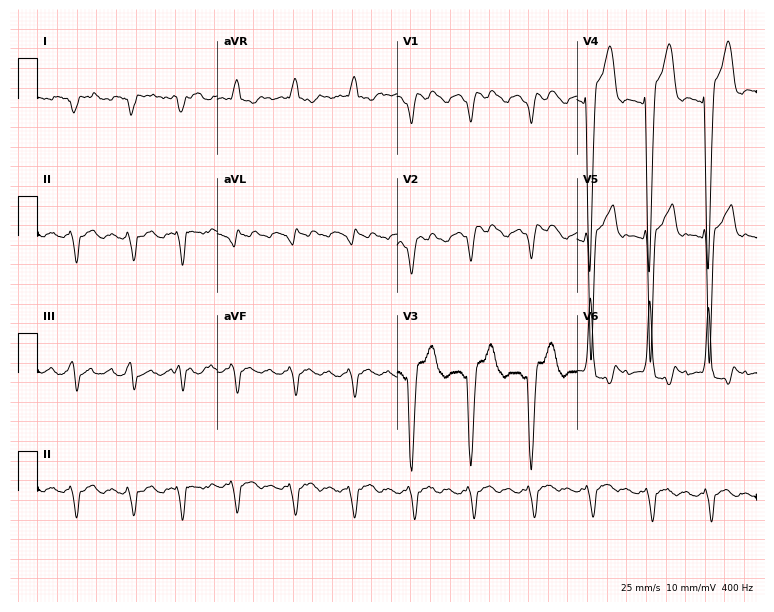
Standard 12-lead ECG recorded from a 72-year-old male patient (7.3-second recording at 400 Hz). None of these six findings is recorded: first-degree AV block, right bundle branch block (RBBB), left bundle branch block (LBBB), sinus bradycardia, atrial fibrillation (AF), sinus tachycardia.